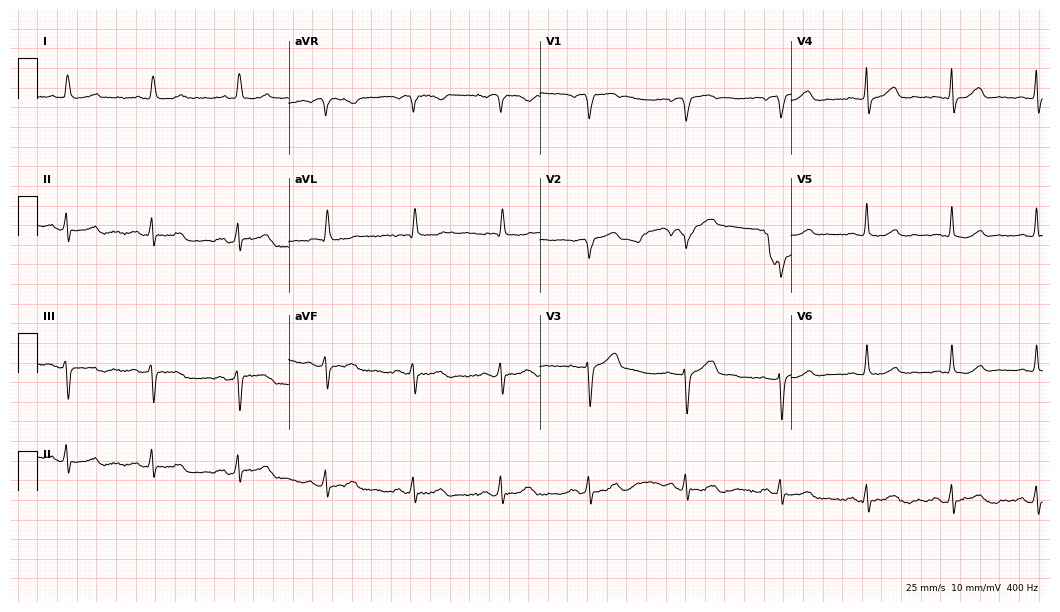
Electrocardiogram (10.2-second recording at 400 Hz), an 85-year-old man. Of the six screened findings (first-degree AV block, right bundle branch block, left bundle branch block, sinus bradycardia, atrial fibrillation, sinus tachycardia), none is recorded. Only these six findings were labelled.